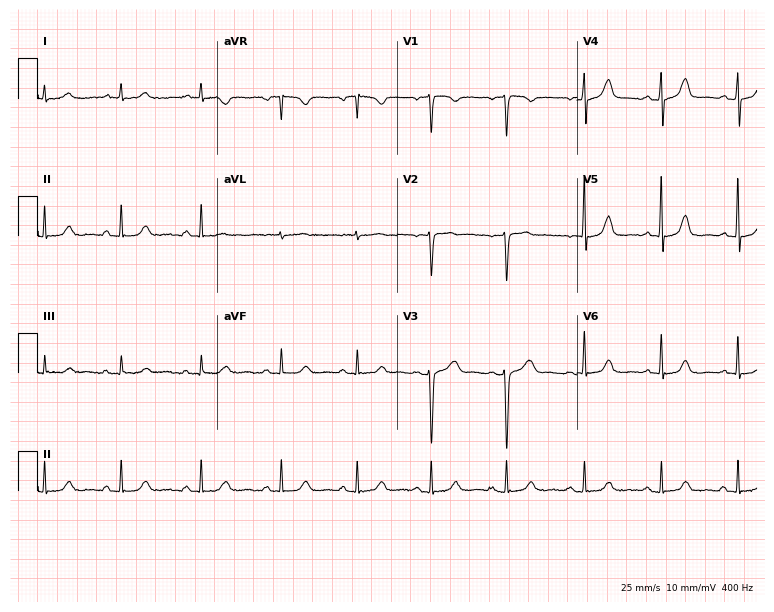
Standard 12-lead ECG recorded from a 44-year-old female patient (7.3-second recording at 400 Hz). None of these six findings is recorded: first-degree AV block, right bundle branch block (RBBB), left bundle branch block (LBBB), sinus bradycardia, atrial fibrillation (AF), sinus tachycardia. Only these six findings were labelled.